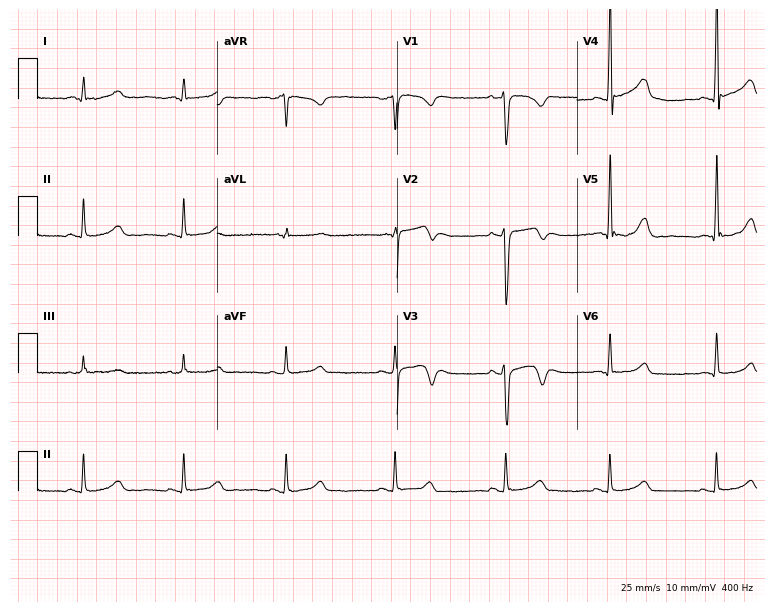
ECG (7.3-second recording at 400 Hz) — a 36-year-old male. Labelled as a normal ECG.